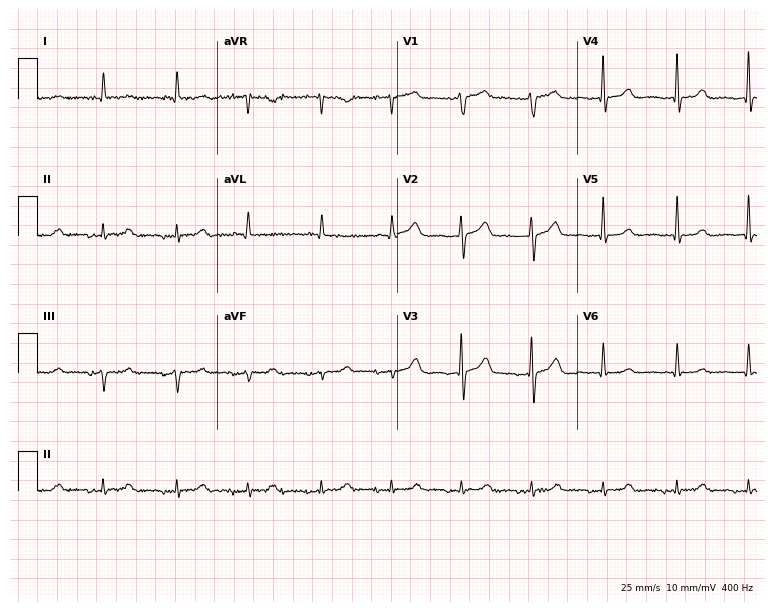
Resting 12-lead electrocardiogram (7.3-second recording at 400 Hz). Patient: a male, 85 years old. None of these six findings is recorded: first-degree AV block, right bundle branch block (RBBB), left bundle branch block (LBBB), sinus bradycardia, atrial fibrillation (AF), sinus tachycardia.